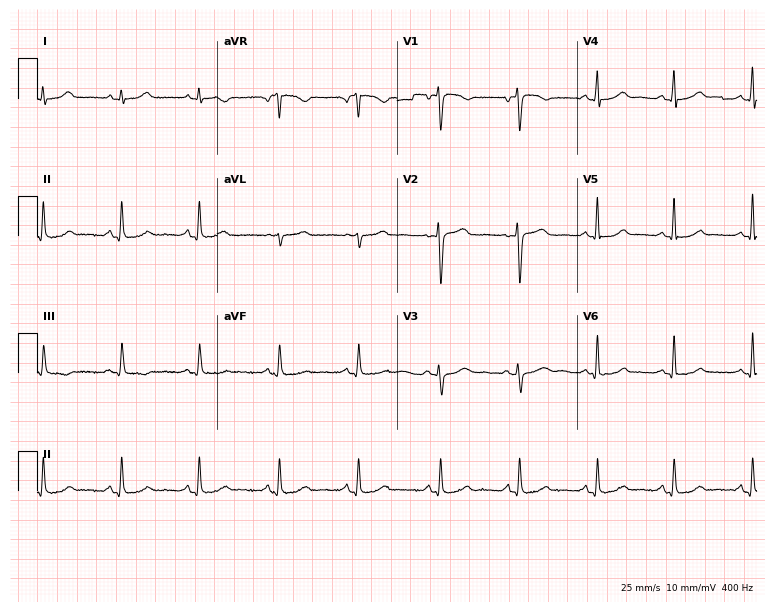
Standard 12-lead ECG recorded from a 32-year-old woman. Read as a normal ECG.